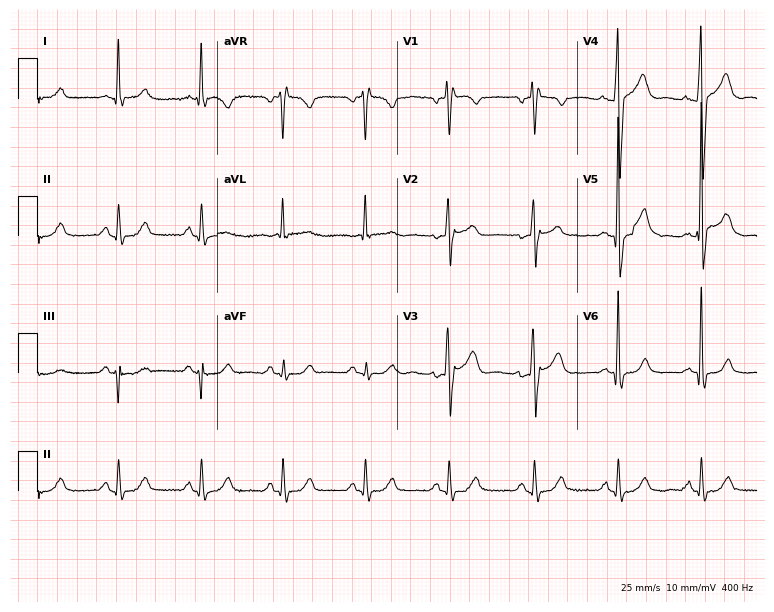
Standard 12-lead ECG recorded from a male, 50 years old (7.3-second recording at 400 Hz). None of these six findings is recorded: first-degree AV block, right bundle branch block, left bundle branch block, sinus bradycardia, atrial fibrillation, sinus tachycardia. Other findings, if any, are not listed.